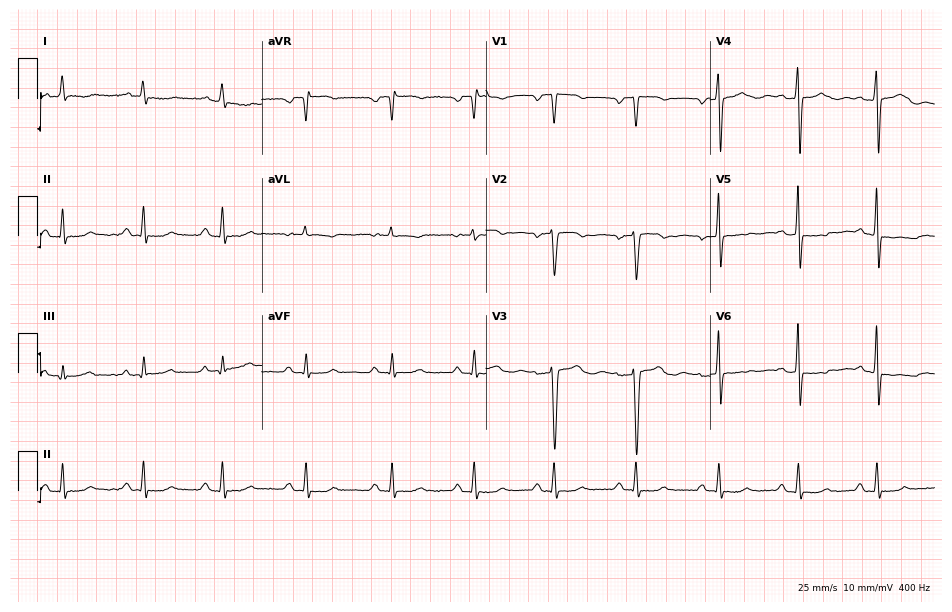
Resting 12-lead electrocardiogram (9.1-second recording at 400 Hz). Patient: a 41-year-old female. None of these six findings is recorded: first-degree AV block, right bundle branch block, left bundle branch block, sinus bradycardia, atrial fibrillation, sinus tachycardia. Findings outside these six are not listed.